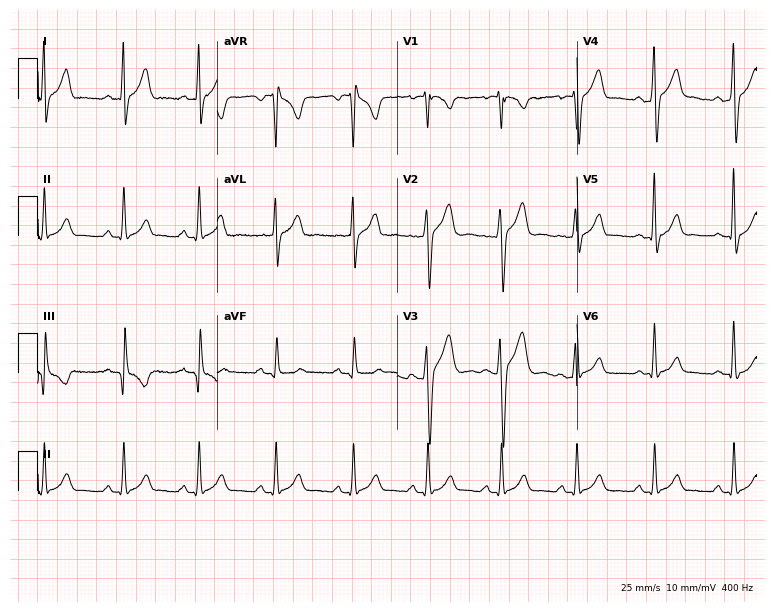
Resting 12-lead electrocardiogram. Patient: a 36-year-old female. None of these six findings is recorded: first-degree AV block, right bundle branch block, left bundle branch block, sinus bradycardia, atrial fibrillation, sinus tachycardia. Findings outside these six are not listed.